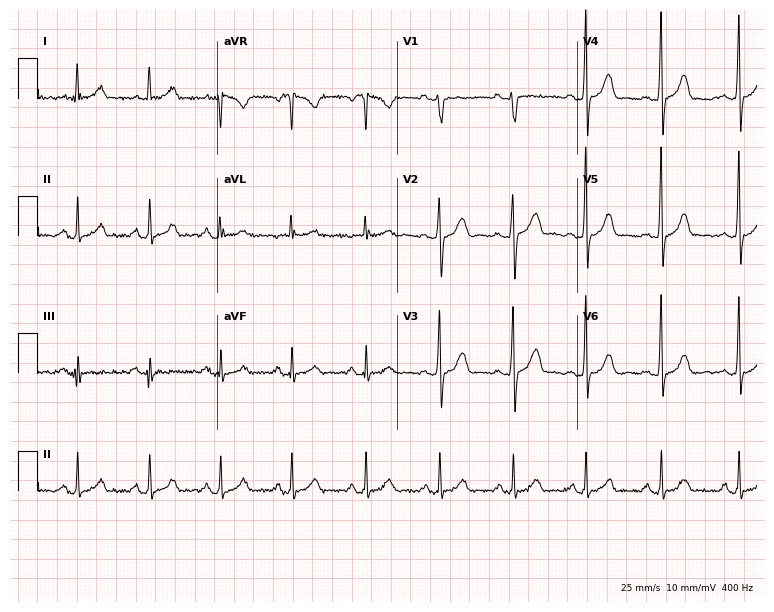
Electrocardiogram, a 27-year-old female patient. Overall reading on record: normal ECG.